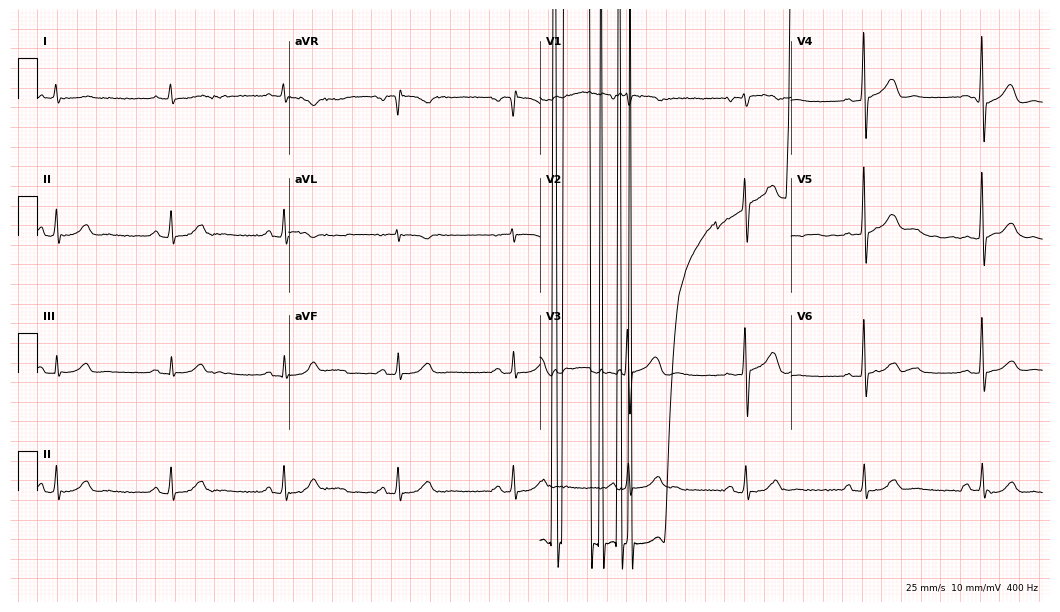
Resting 12-lead electrocardiogram. Patient: a 67-year-old man. None of these six findings is recorded: first-degree AV block, right bundle branch block (RBBB), left bundle branch block (LBBB), sinus bradycardia, atrial fibrillation (AF), sinus tachycardia.